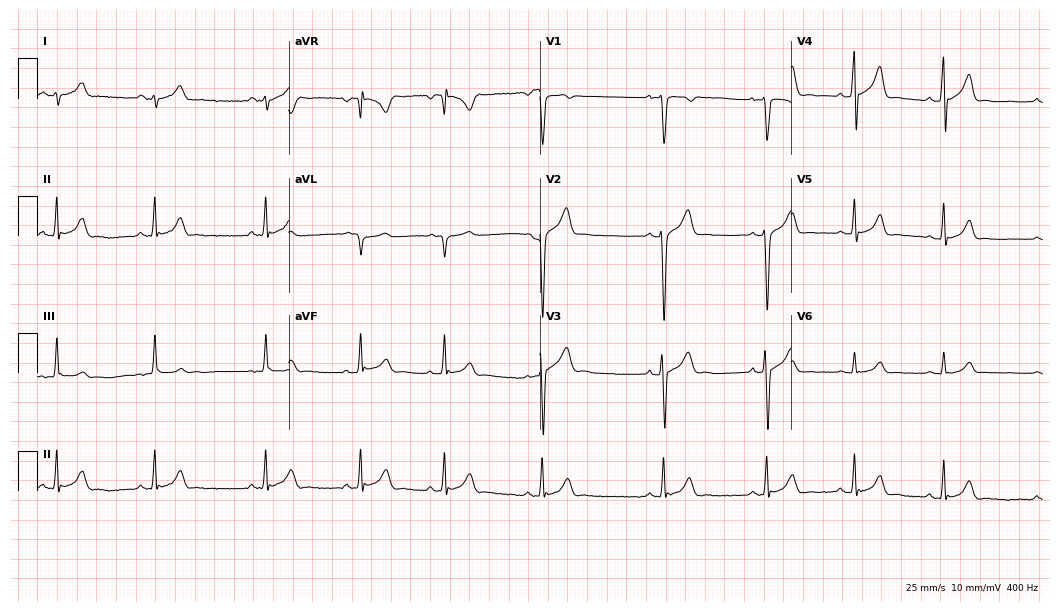
12-lead ECG from a 17-year-old male. Recorded interpretation: within normal limits.